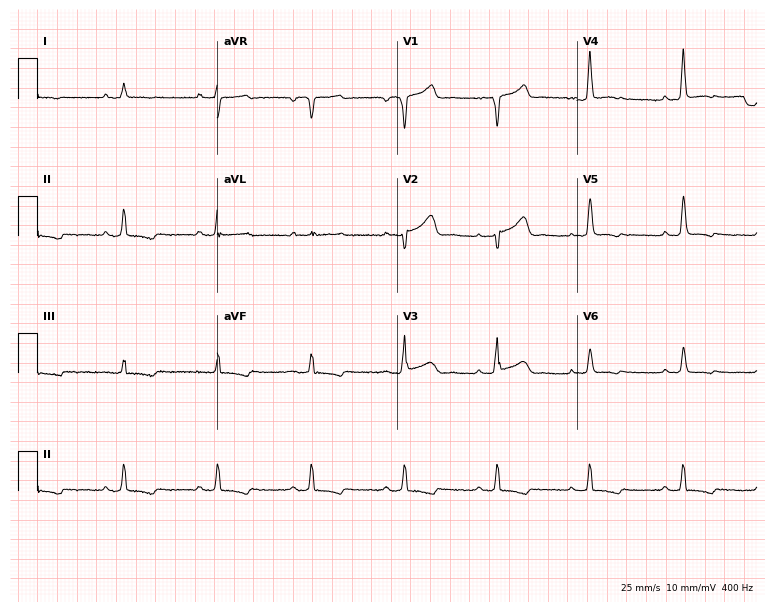
ECG — a 65-year-old male patient. Screened for six findings — first-degree AV block, right bundle branch block, left bundle branch block, sinus bradycardia, atrial fibrillation, sinus tachycardia — none is recorded. Other findings, if any, are not listed.